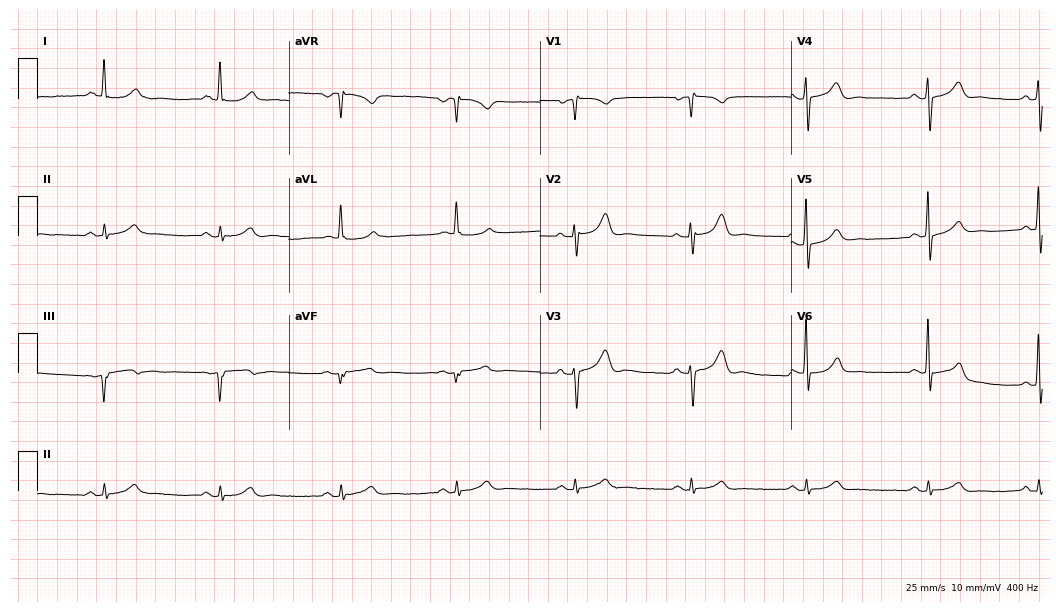
12-lead ECG (10.2-second recording at 400 Hz) from a 66-year-old male patient. Findings include sinus bradycardia (a sinus rate of 50 beats per minute or less).